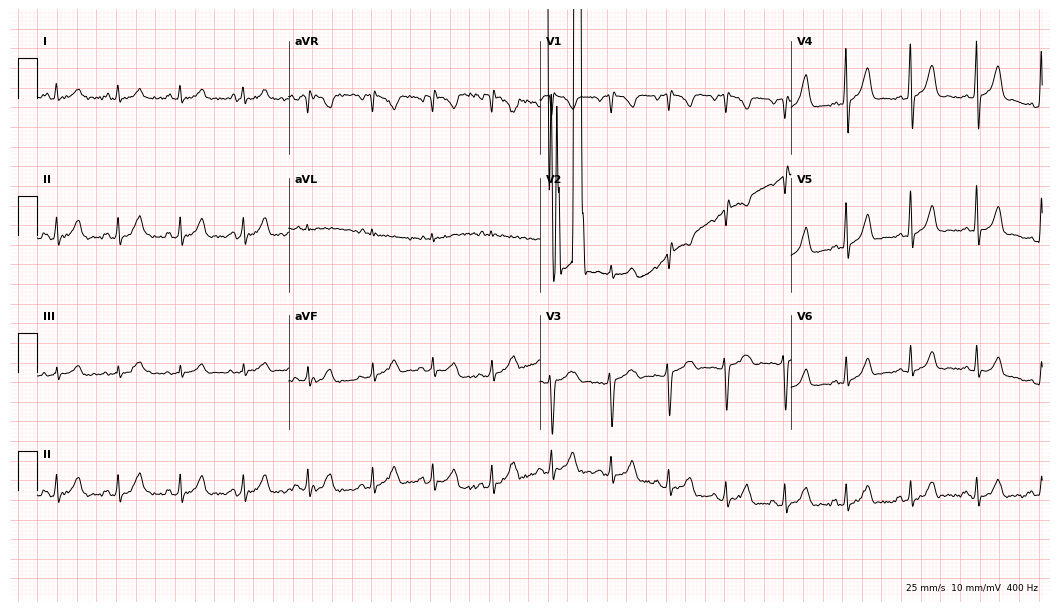
12-lead ECG from a 31-year-old female. Screened for six findings — first-degree AV block, right bundle branch block, left bundle branch block, sinus bradycardia, atrial fibrillation, sinus tachycardia — none is recorded.